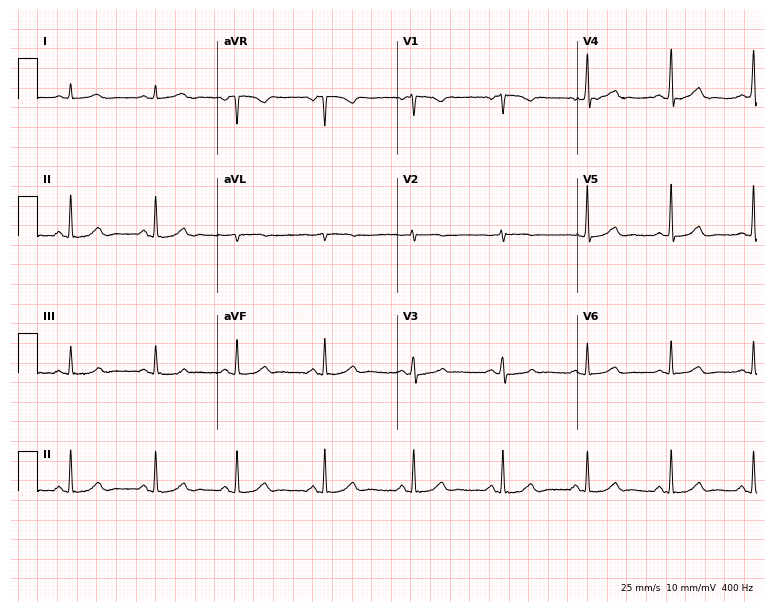
ECG (7.3-second recording at 400 Hz) — a female, 42 years old. Screened for six findings — first-degree AV block, right bundle branch block, left bundle branch block, sinus bradycardia, atrial fibrillation, sinus tachycardia — none is recorded. Findings outside these six are not listed.